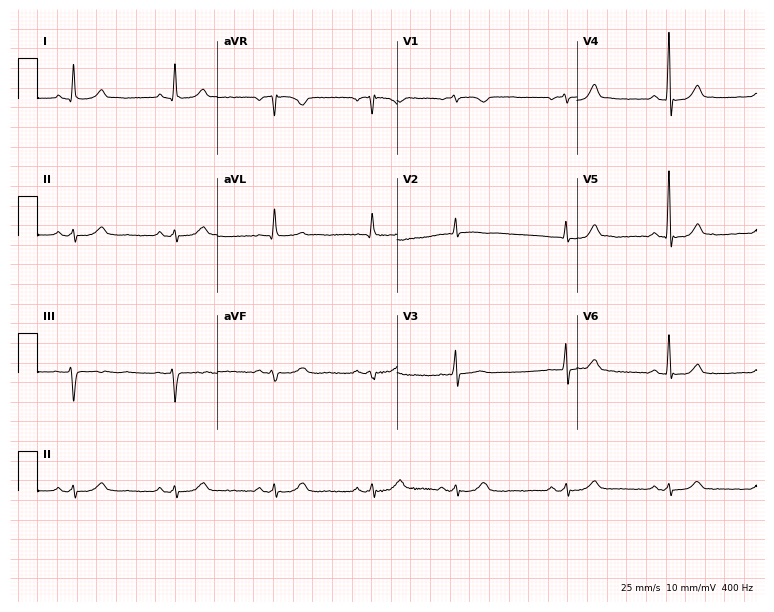
ECG (7.3-second recording at 400 Hz) — a 72-year-old female patient. Screened for six findings — first-degree AV block, right bundle branch block, left bundle branch block, sinus bradycardia, atrial fibrillation, sinus tachycardia — none is recorded. Only these six findings were labelled.